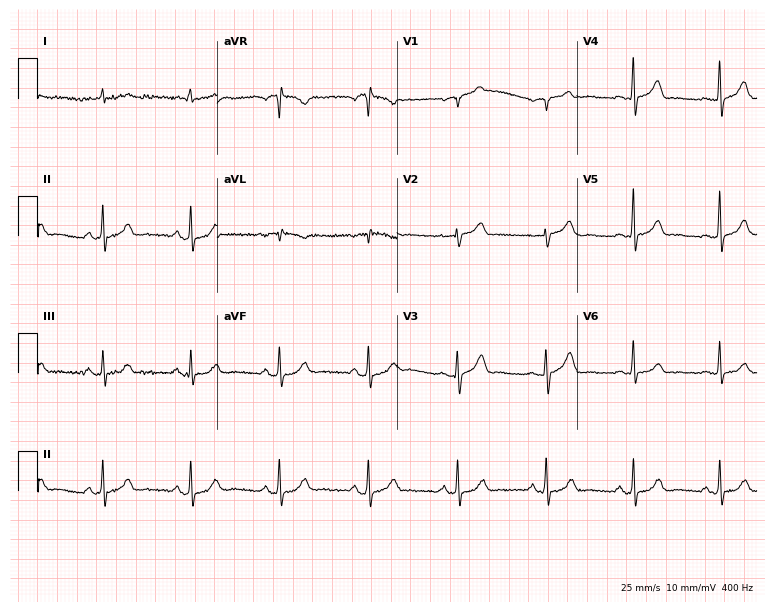
12-lead ECG (7.3-second recording at 400 Hz) from an 82-year-old male patient. Labelled as a normal ECG.